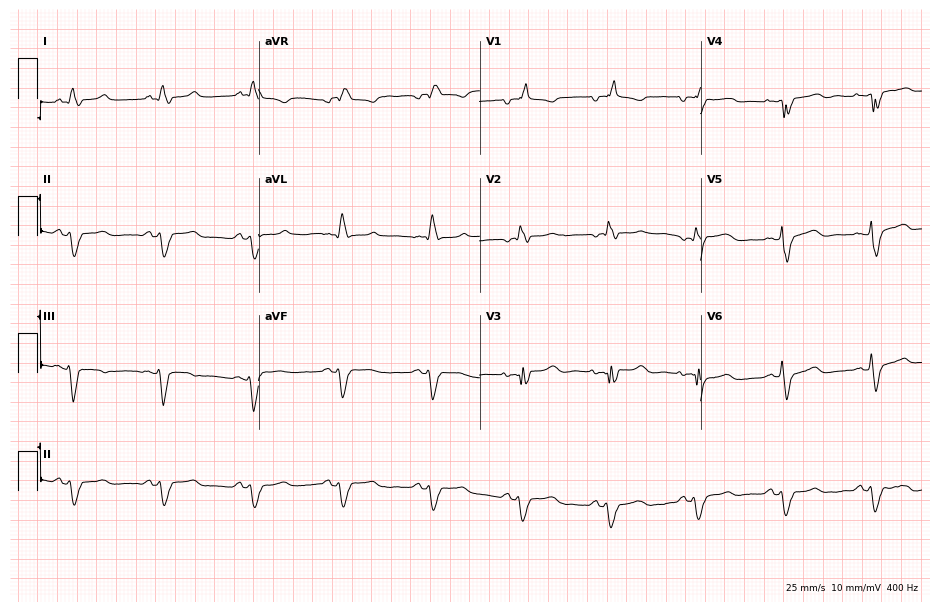
Resting 12-lead electrocardiogram (9-second recording at 400 Hz). Patient: a 64-year-old woman. The tracing shows right bundle branch block.